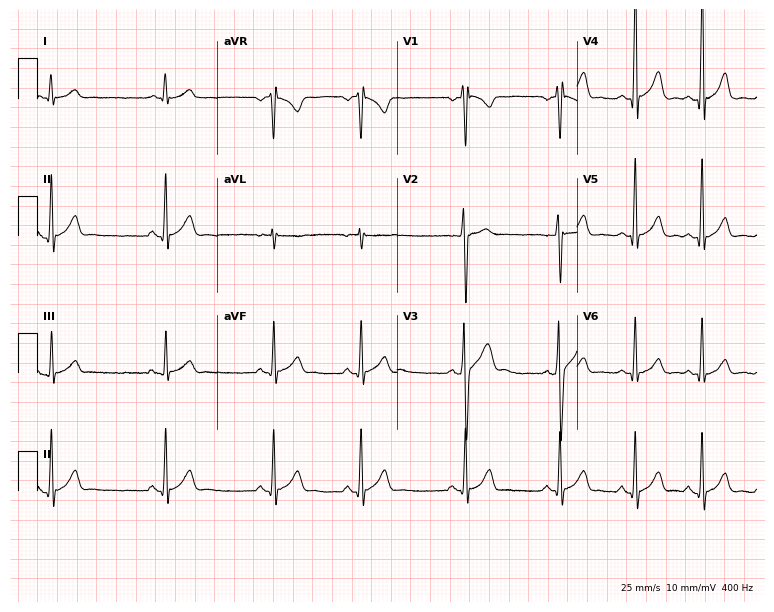
12-lead ECG from a 17-year-old male patient. Labelled as a normal ECG.